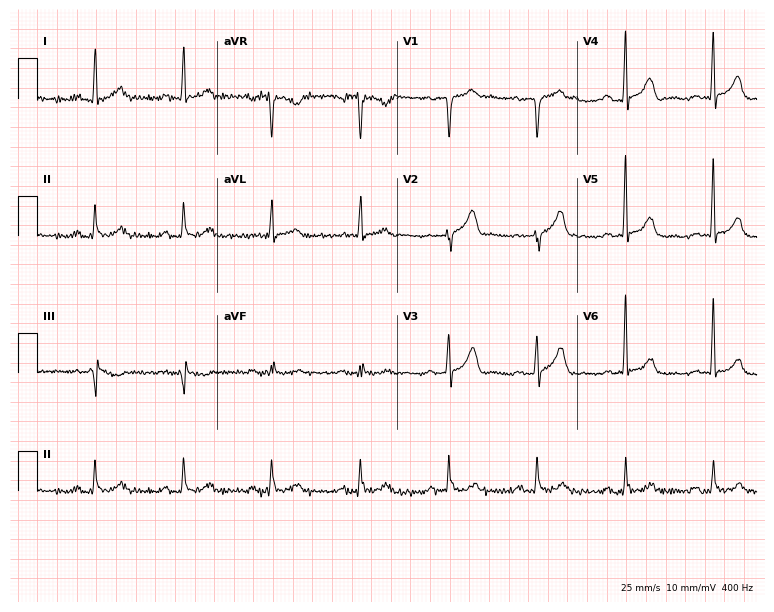
Resting 12-lead electrocardiogram (7.3-second recording at 400 Hz). Patient: a man, 55 years old. None of these six findings is recorded: first-degree AV block, right bundle branch block (RBBB), left bundle branch block (LBBB), sinus bradycardia, atrial fibrillation (AF), sinus tachycardia. Other findings, if any, are not listed.